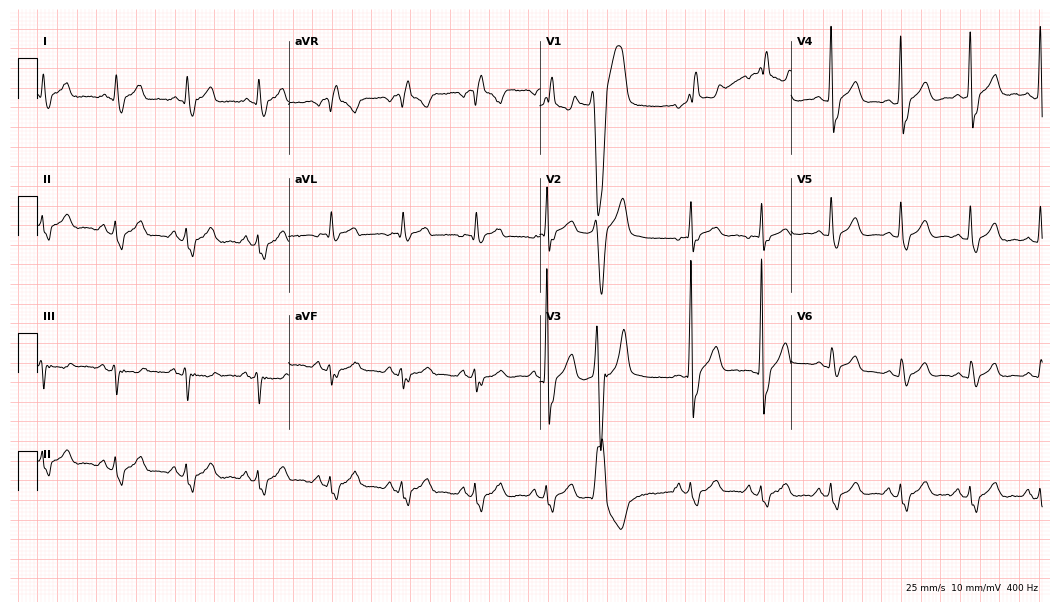
12-lead ECG from a 74-year-old man. Findings include right bundle branch block.